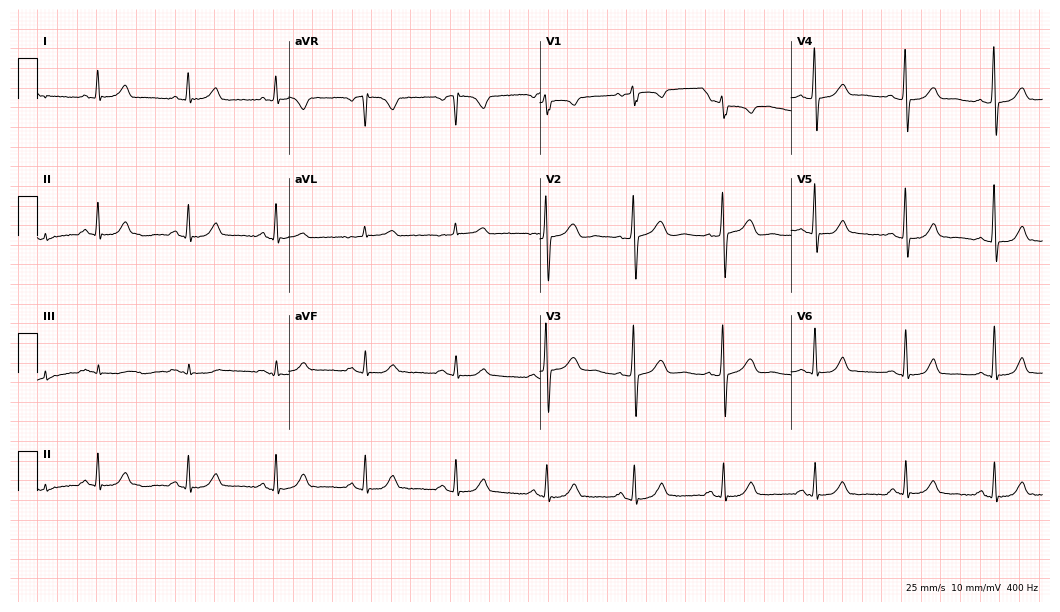
Resting 12-lead electrocardiogram. Patient: a 69-year-old woman. Read as a normal ECG.